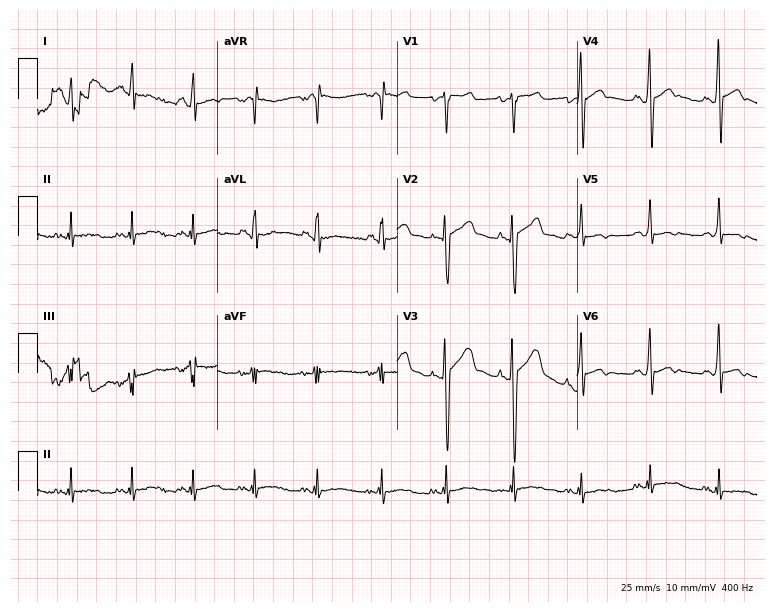
12-lead ECG from a 39-year-old male. Screened for six findings — first-degree AV block, right bundle branch block (RBBB), left bundle branch block (LBBB), sinus bradycardia, atrial fibrillation (AF), sinus tachycardia — none is recorded. Other findings, if any, are not listed.